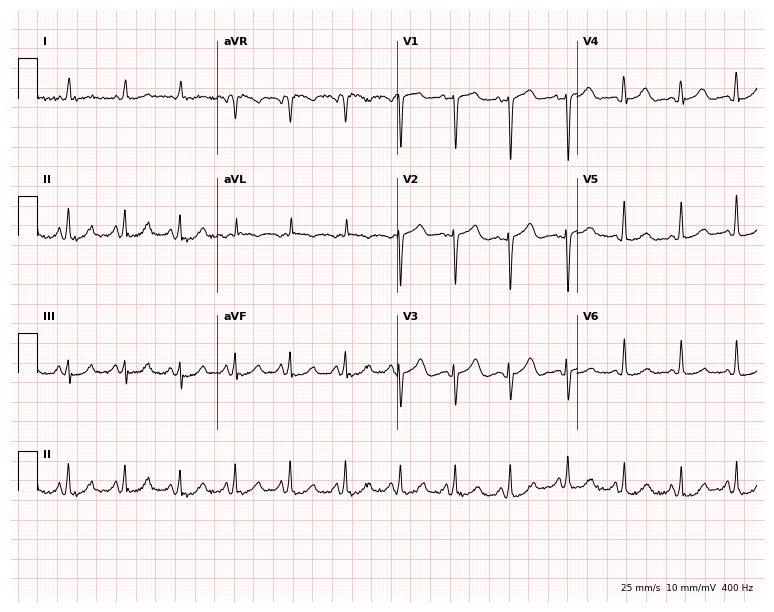
ECG (7.3-second recording at 400 Hz) — a 69-year-old woman. Screened for six findings — first-degree AV block, right bundle branch block (RBBB), left bundle branch block (LBBB), sinus bradycardia, atrial fibrillation (AF), sinus tachycardia — none is recorded. Other findings, if any, are not listed.